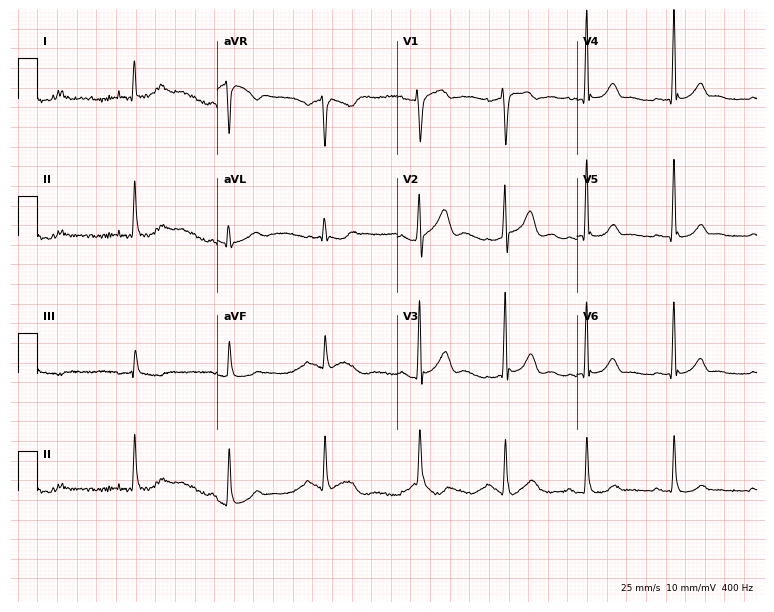
Resting 12-lead electrocardiogram. Patient: a male, 50 years old. Read as a normal ECG.